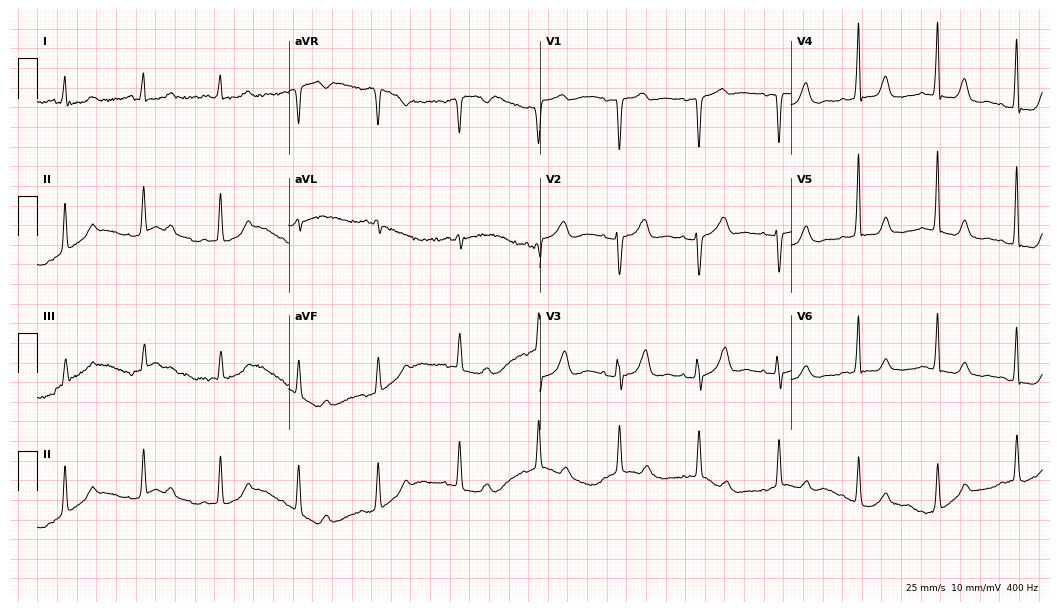
Standard 12-lead ECG recorded from a 77-year-old woman. Read as a normal ECG.